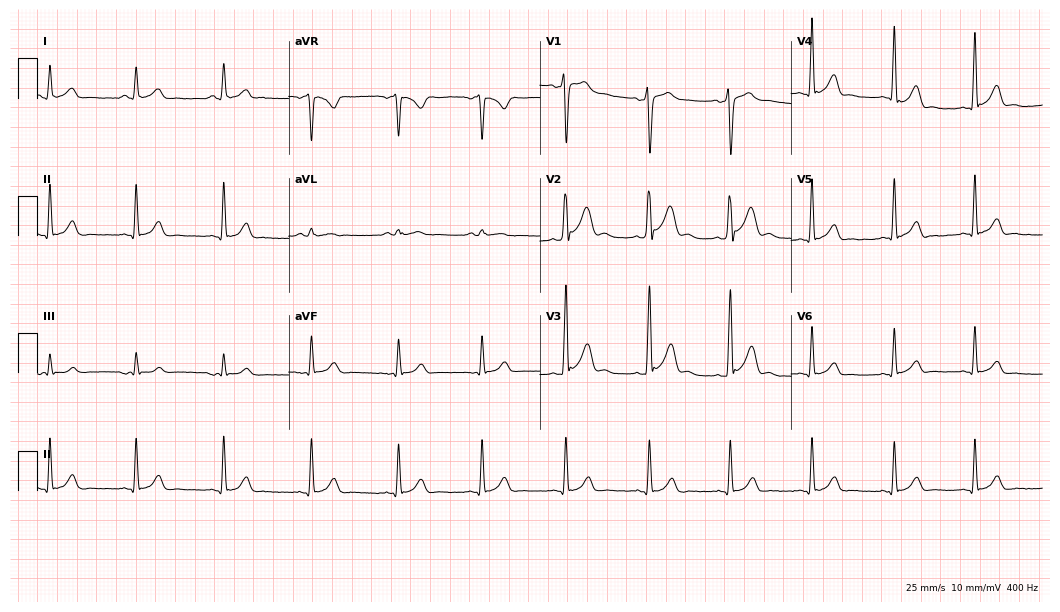
ECG — a 30-year-old male patient. Screened for six findings — first-degree AV block, right bundle branch block, left bundle branch block, sinus bradycardia, atrial fibrillation, sinus tachycardia — none is recorded.